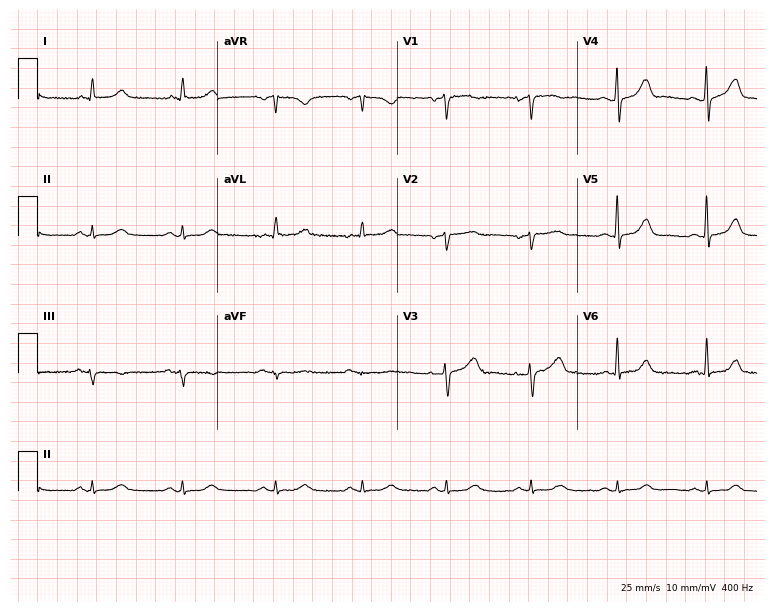
ECG (7.3-second recording at 400 Hz) — a 57-year-old female. Labelled as a normal ECG.